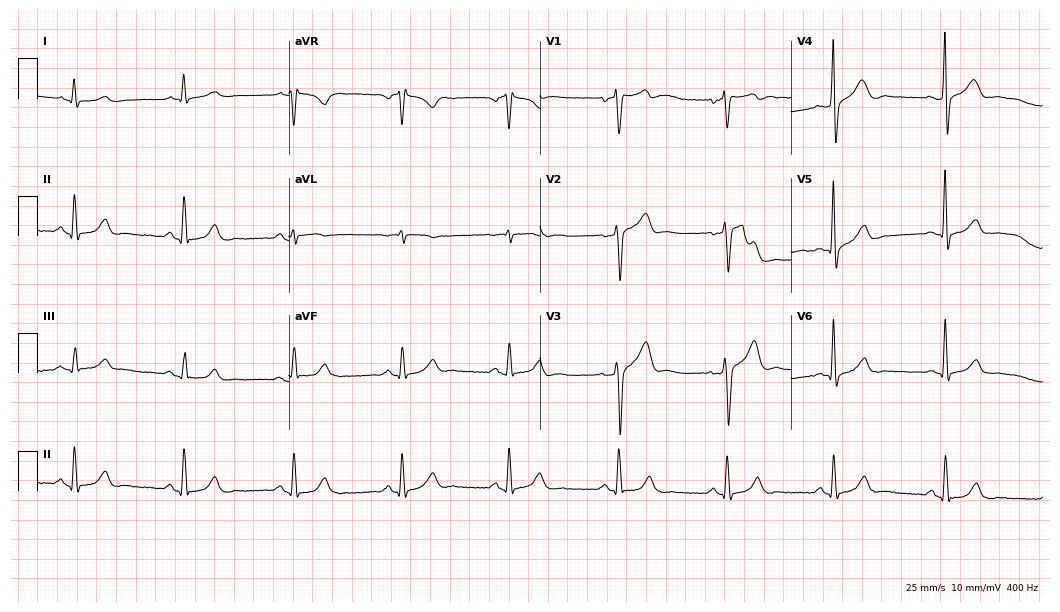
Electrocardiogram, a 53-year-old male. Of the six screened findings (first-degree AV block, right bundle branch block, left bundle branch block, sinus bradycardia, atrial fibrillation, sinus tachycardia), none is recorded.